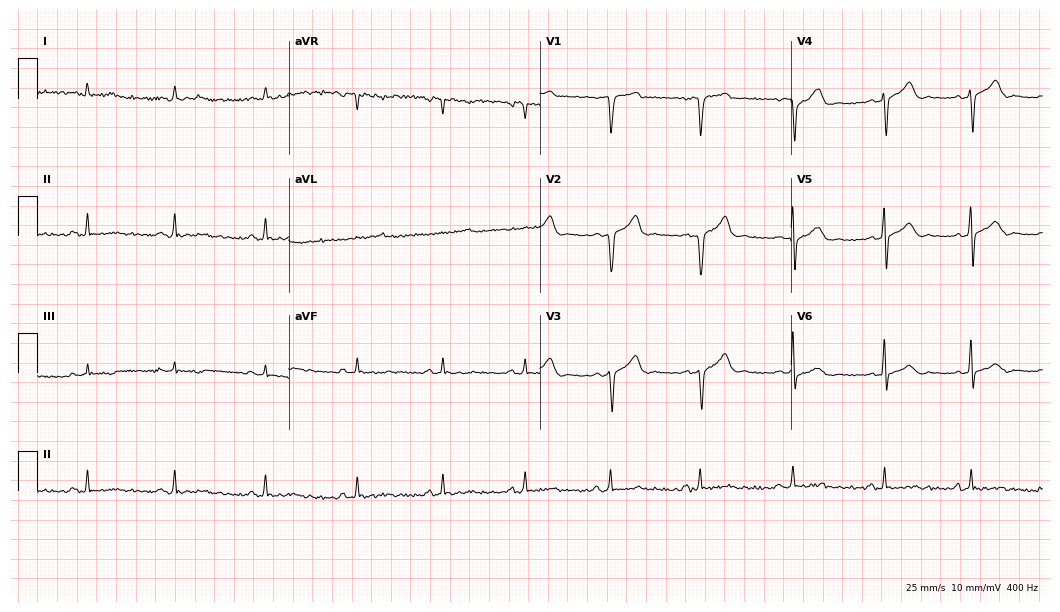
Standard 12-lead ECG recorded from a male patient, 37 years old (10.2-second recording at 400 Hz). None of these six findings is recorded: first-degree AV block, right bundle branch block (RBBB), left bundle branch block (LBBB), sinus bradycardia, atrial fibrillation (AF), sinus tachycardia.